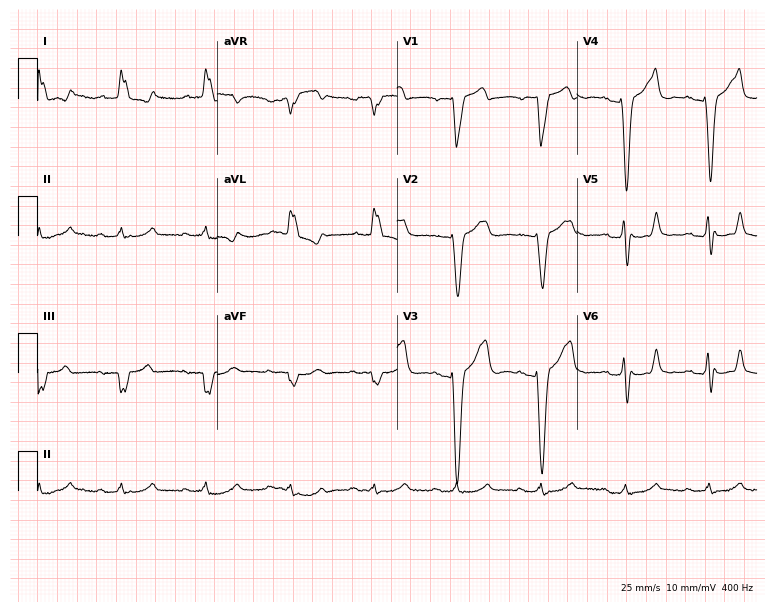
12-lead ECG from a male patient, 81 years old. Findings include left bundle branch block.